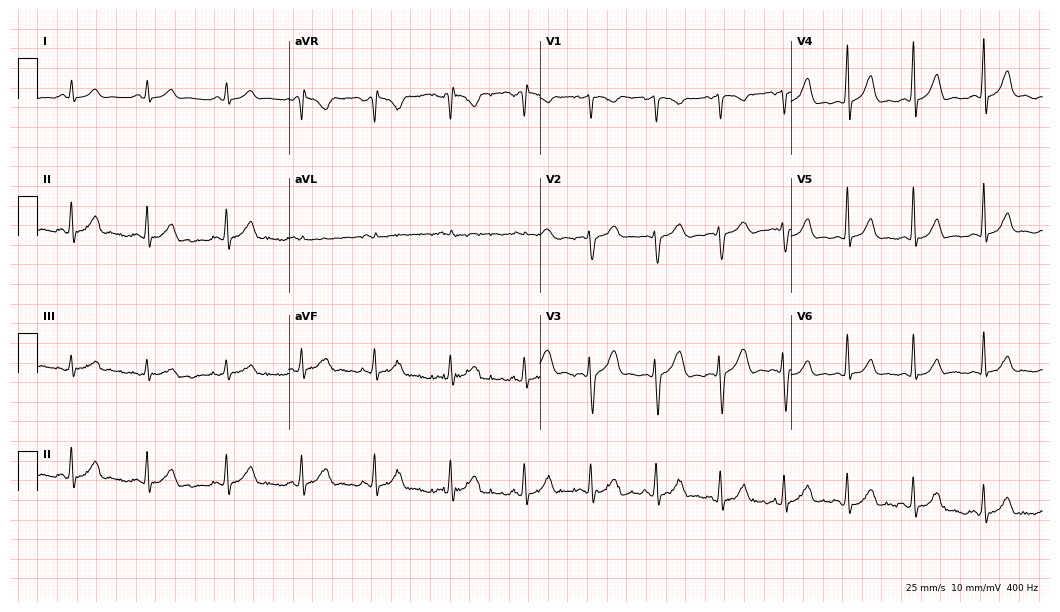
Electrocardiogram (10.2-second recording at 400 Hz), an 18-year-old male. Of the six screened findings (first-degree AV block, right bundle branch block (RBBB), left bundle branch block (LBBB), sinus bradycardia, atrial fibrillation (AF), sinus tachycardia), none is recorded. Findings outside these six are not listed.